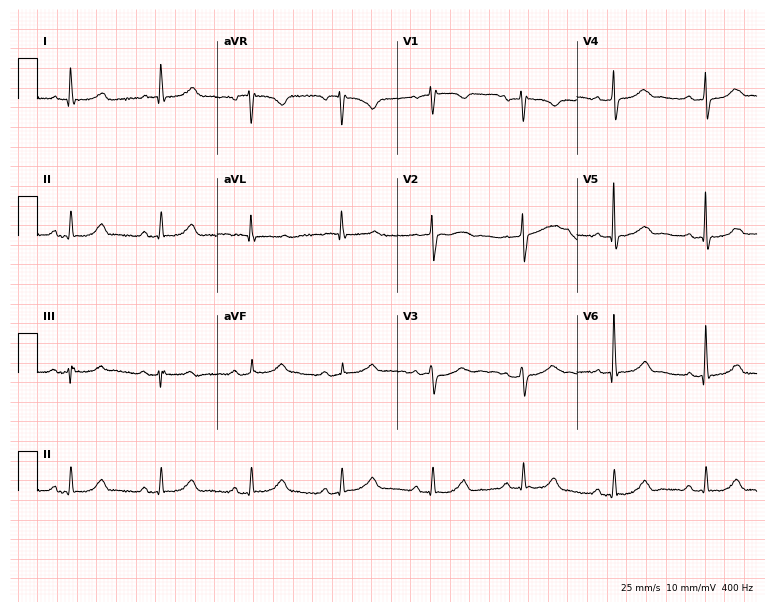
Resting 12-lead electrocardiogram. Patient: a man, 75 years old. None of these six findings is recorded: first-degree AV block, right bundle branch block (RBBB), left bundle branch block (LBBB), sinus bradycardia, atrial fibrillation (AF), sinus tachycardia.